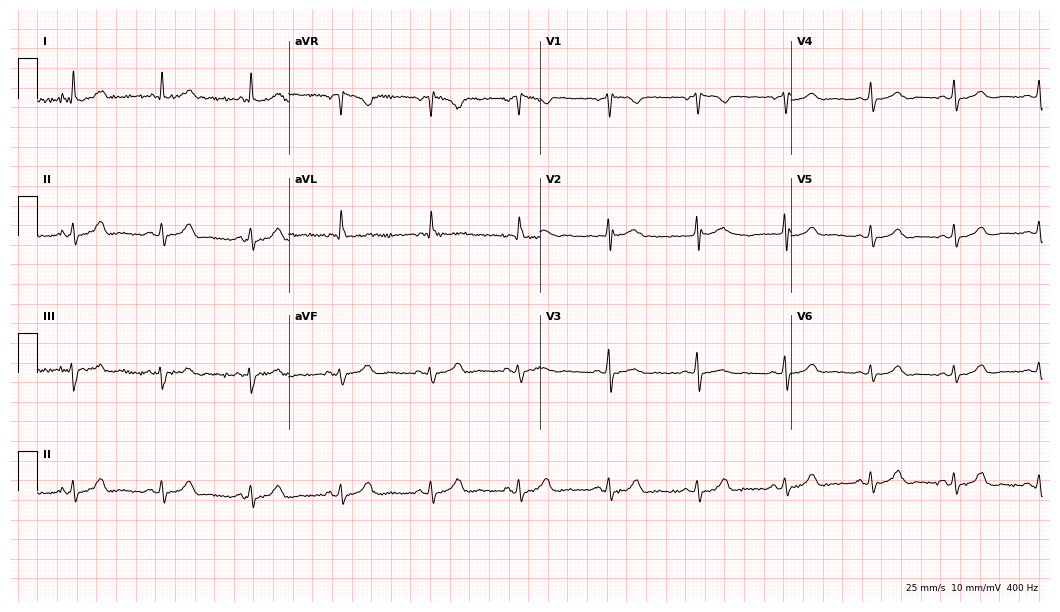
ECG — a 47-year-old female patient. Screened for six findings — first-degree AV block, right bundle branch block, left bundle branch block, sinus bradycardia, atrial fibrillation, sinus tachycardia — none is recorded.